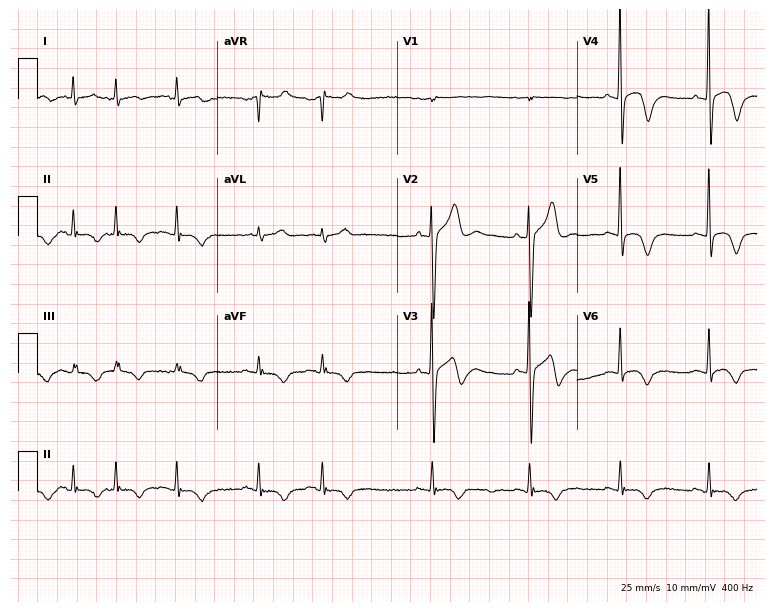
Standard 12-lead ECG recorded from a 76-year-old male. None of these six findings is recorded: first-degree AV block, right bundle branch block, left bundle branch block, sinus bradycardia, atrial fibrillation, sinus tachycardia. Only these six findings were labelled.